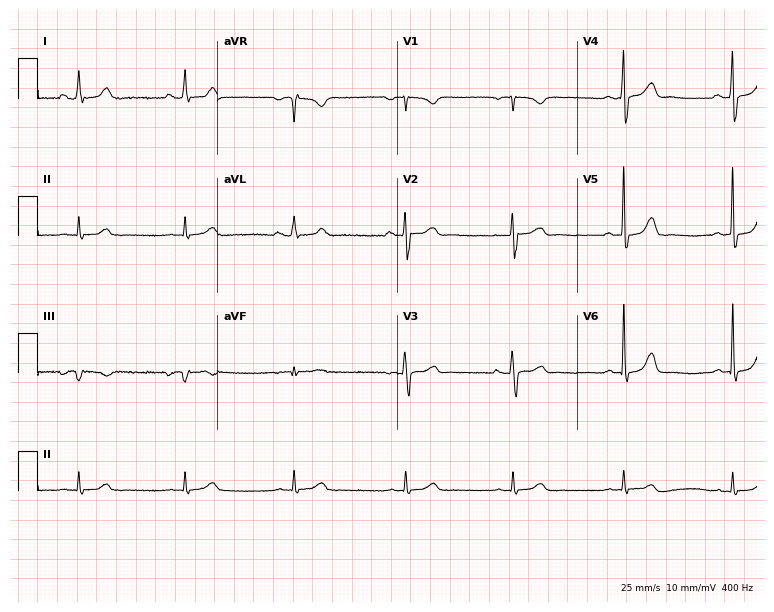
Resting 12-lead electrocardiogram (7.3-second recording at 400 Hz). Patient: a 61-year-old female. Read as a normal ECG.